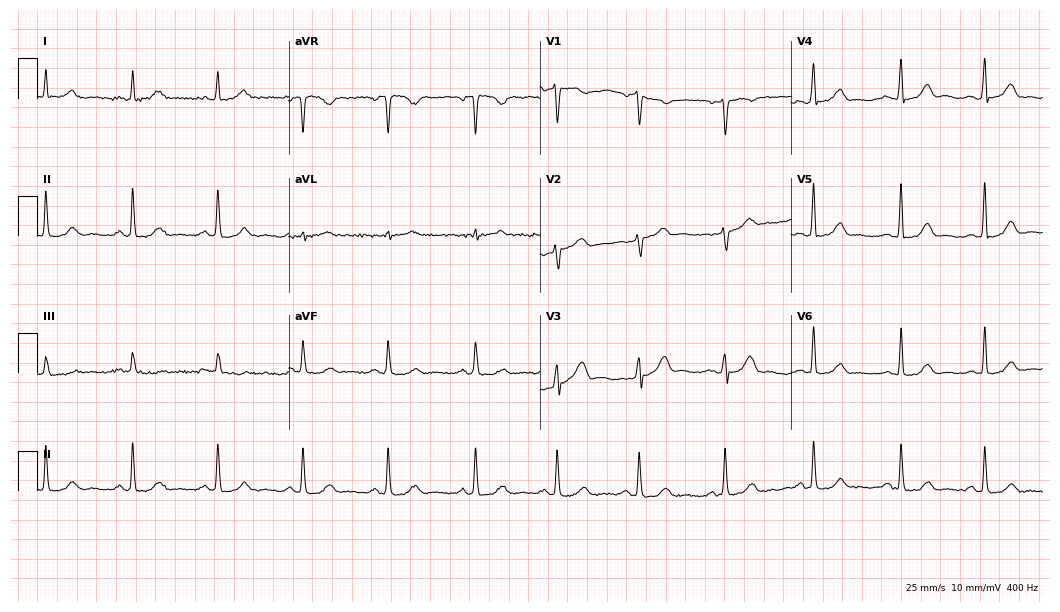
ECG (10.2-second recording at 400 Hz) — a female, 33 years old. Labelled as a normal ECG.